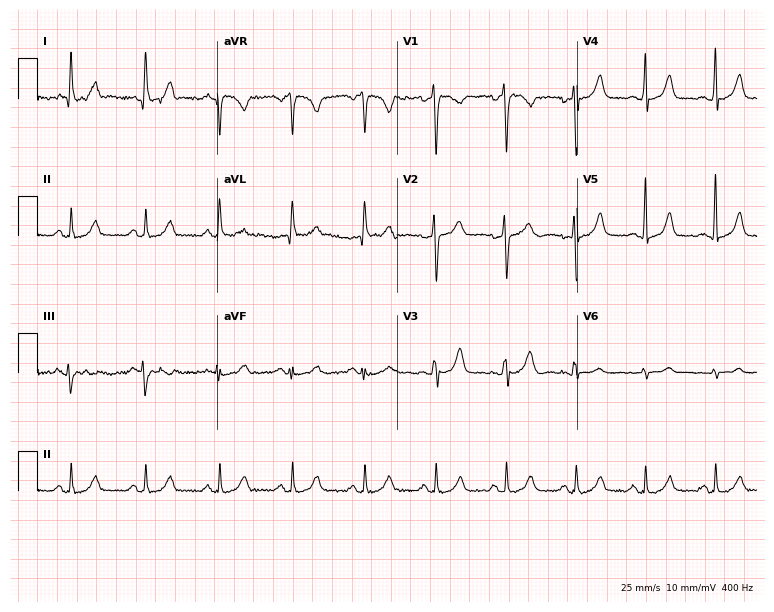
12-lead ECG from a 34-year-old female. No first-degree AV block, right bundle branch block, left bundle branch block, sinus bradycardia, atrial fibrillation or sinus tachycardia recorded for this tracing.